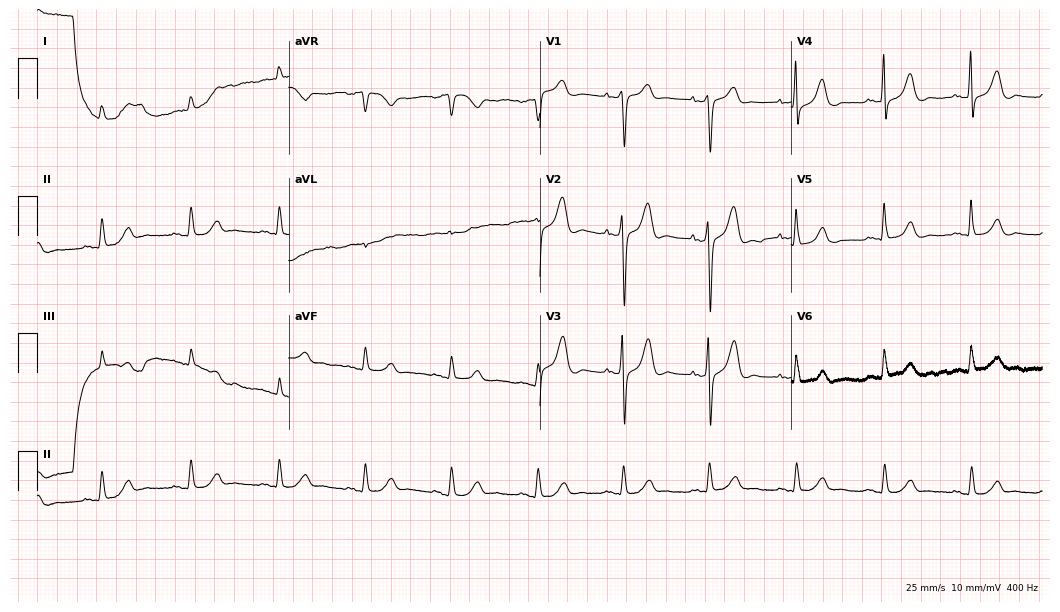
Resting 12-lead electrocardiogram. Patient: a 75-year-old male. Read as a normal ECG.